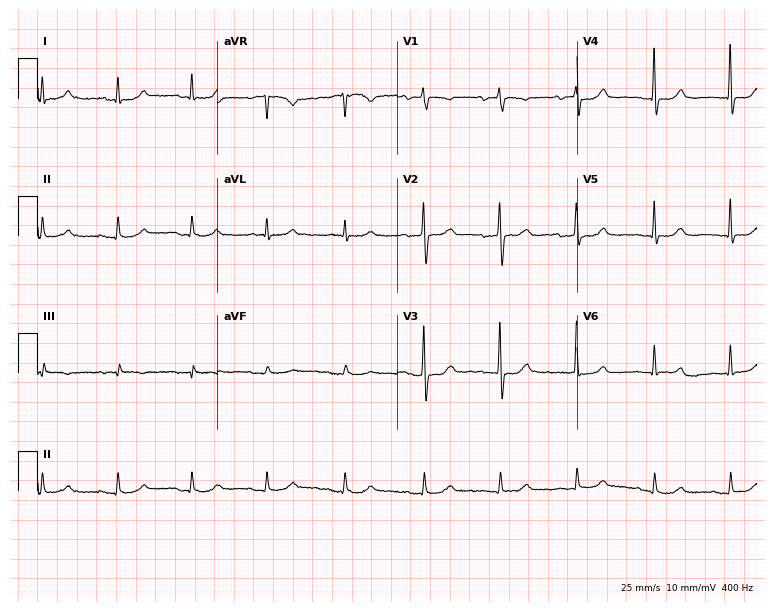
Standard 12-lead ECG recorded from a 77-year-old female (7.3-second recording at 400 Hz). Read as a normal ECG.